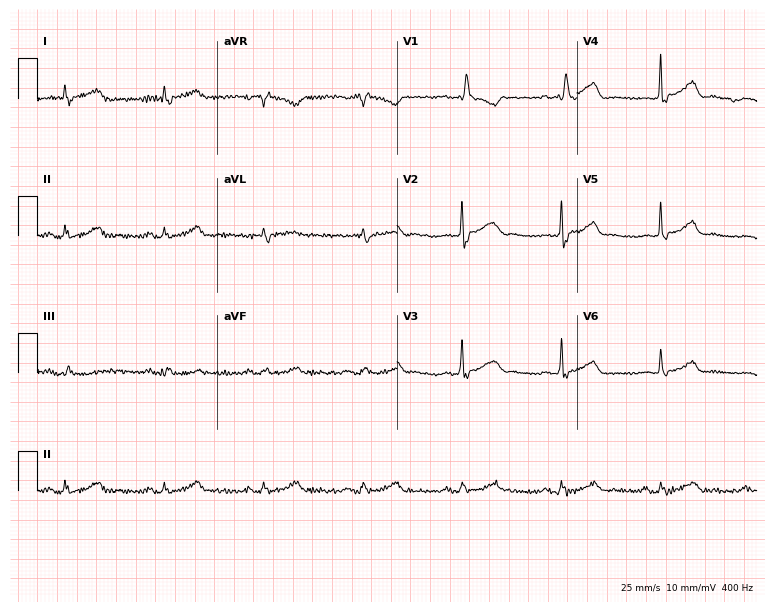
12-lead ECG from a 70-year-old male patient. Screened for six findings — first-degree AV block, right bundle branch block, left bundle branch block, sinus bradycardia, atrial fibrillation, sinus tachycardia — none is recorded. Other findings, if any, are not listed.